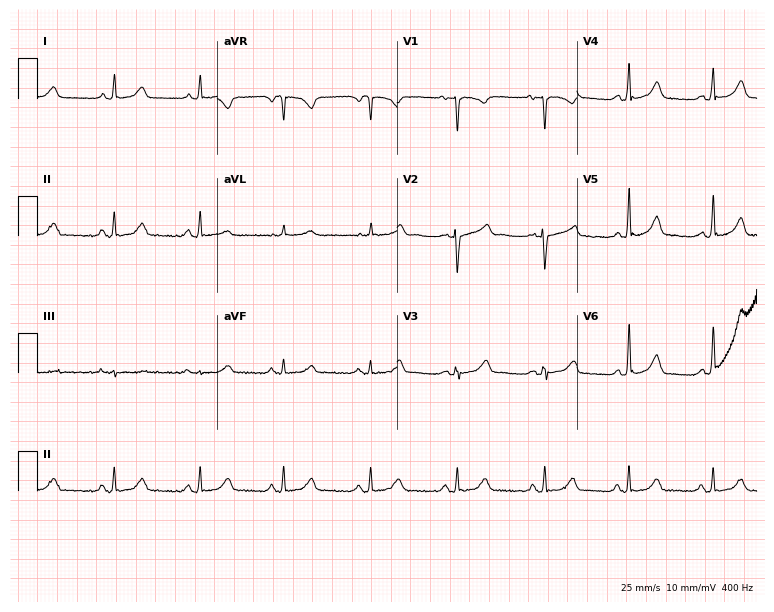
12-lead ECG from a 32-year-old woman. Labelled as a normal ECG.